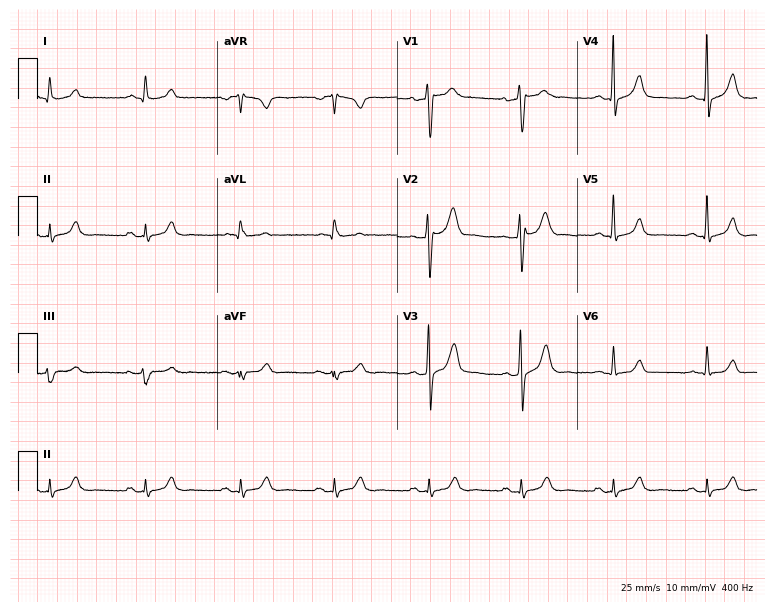
Standard 12-lead ECG recorded from a 47-year-old male patient. None of these six findings is recorded: first-degree AV block, right bundle branch block, left bundle branch block, sinus bradycardia, atrial fibrillation, sinus tachycardia.